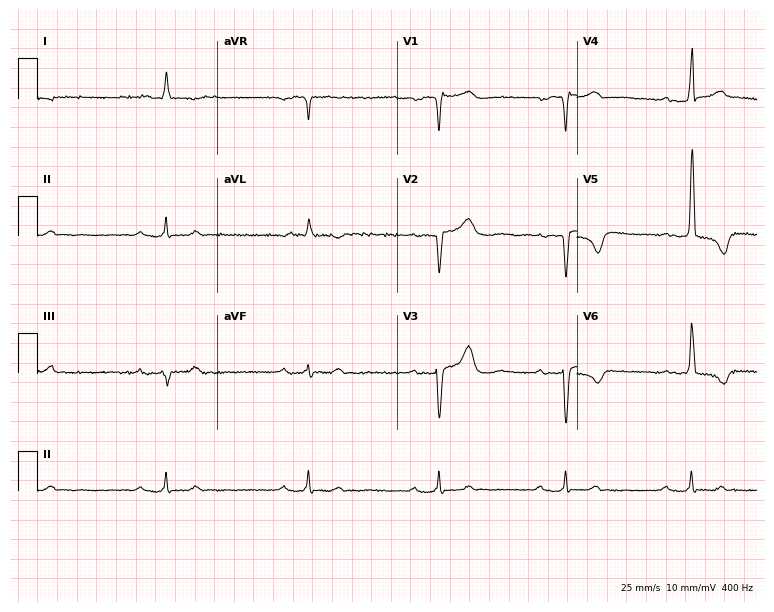
Standard 12-lead ECG recorded from a male patient, 83 years old (7.3-second recording at 400 Hz). The tracing shows first-degree AV block.